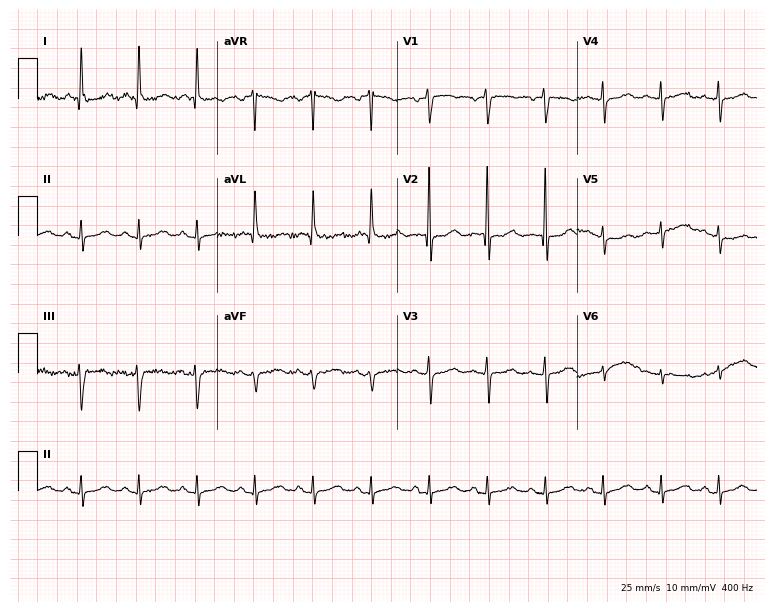
Electrocardiogram (7.3-second recording at 400 Hz), an 85-year-old woman. Of the six screened findings (first-degree AV block, right bundle branch block, left bundle branch block, sinus bradycardia, atrial fibrillation, sinus tachycardia), none is recorded. Only these six findings were labelled.